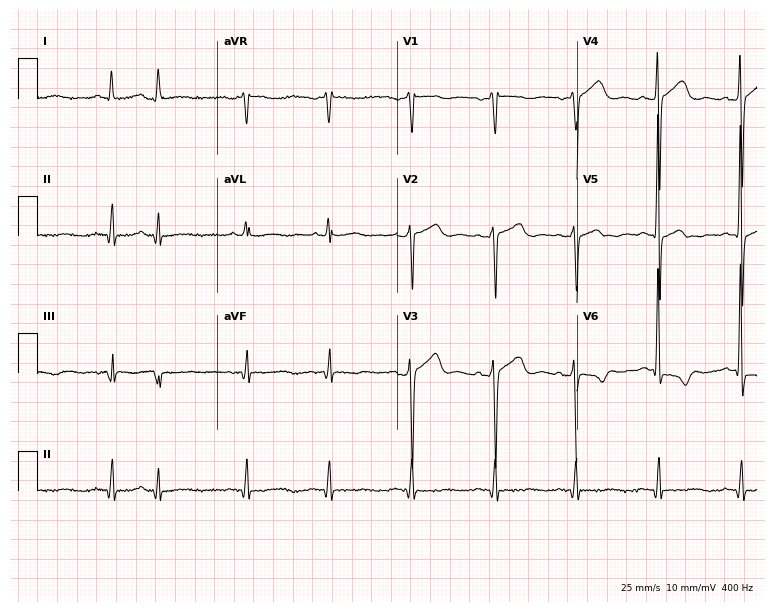
Standard 12-lead ECG recorded from a 70-year-old man. None of these six findings is recorded: first-degree AV block, right bundle branch block (RBBB), left bundle branch block (LBBB), sinus bradycardia, atrial fibrillation (AF), sinus tachycardia.